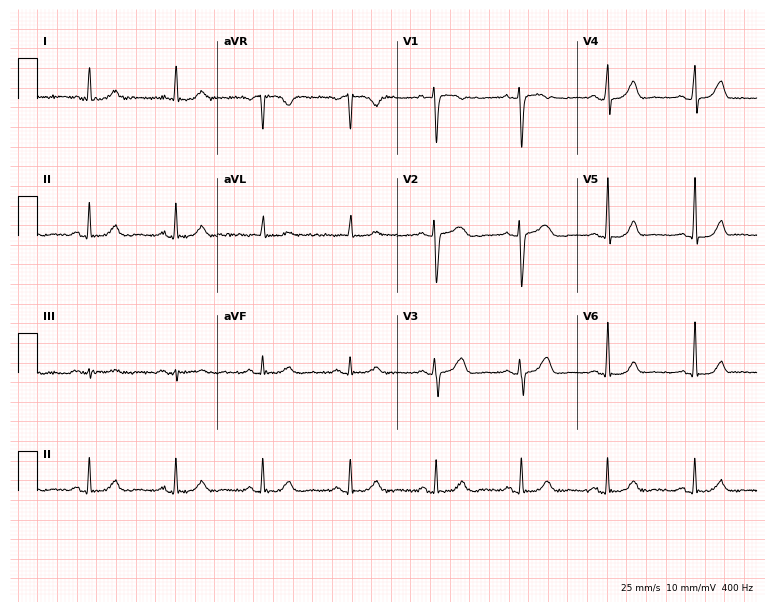
ECG — a woman, 54 years old. Labelled as a normal ECG.